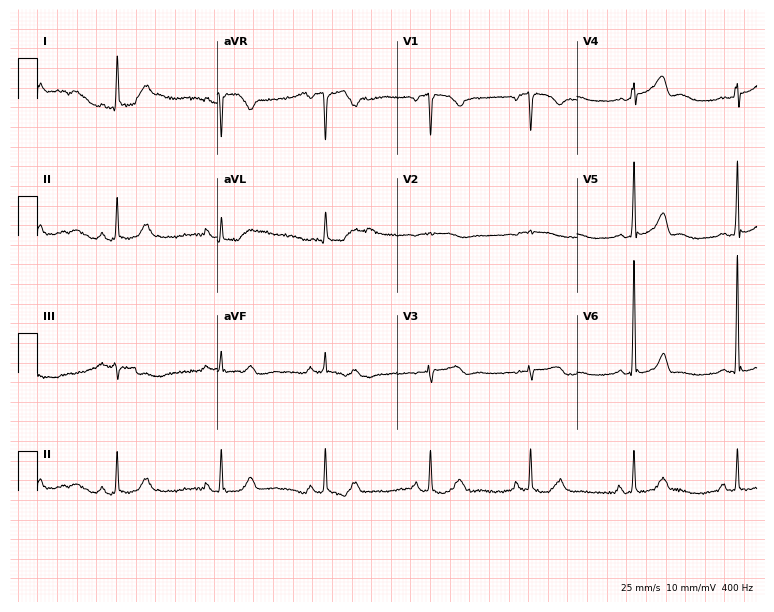
Electrocardiogram (7.3-second recording at 400 Hz), a 50-year-old woman. Overall reading on record: normal ECG.